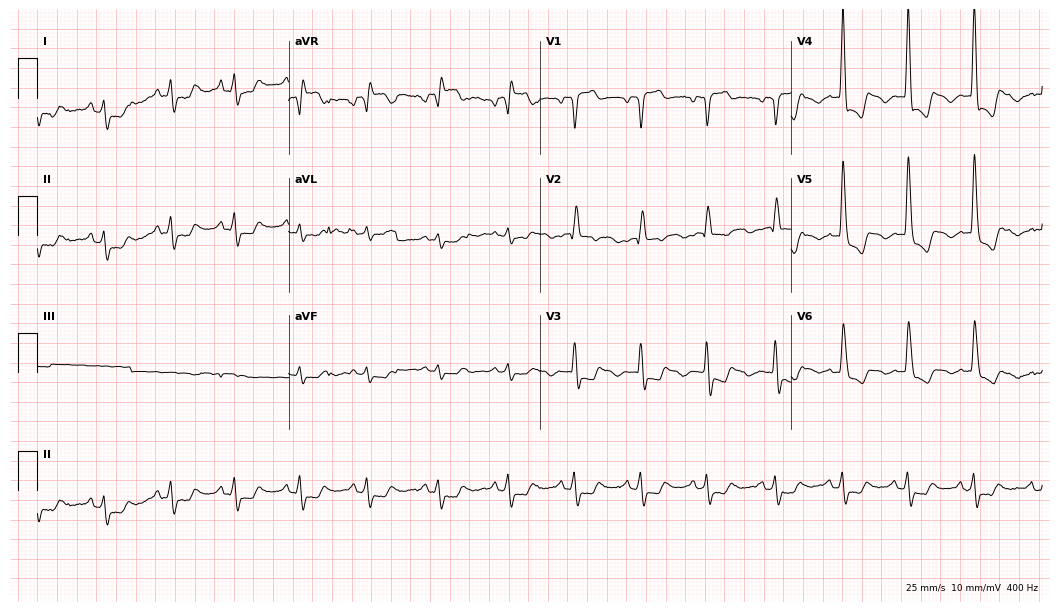
Resting 12-lead electrocardiogram (10.2-second recording at 400 Hz). Patient: a male, 81 years old. None of these six findings is recorded: first-degree AV block, right bundle branch block, left bundle branch block, sinus bradycardia, atrial fibrillation, sinus tachycardia.